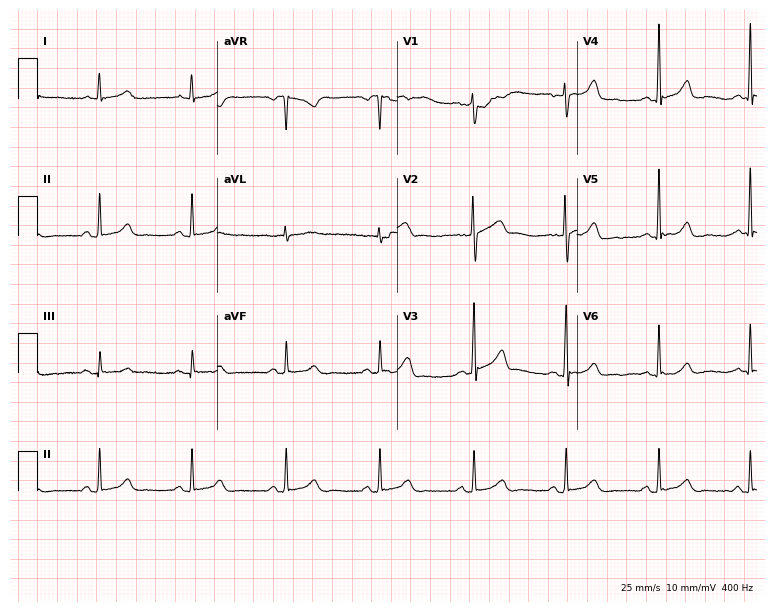
Standard 12-lead ECG recorded from a female, 41 years old. None of these six findings is recorded: first-degree AV block, right bundle branch block (RBBB), left bundle branch block (LBBB), sinus bradycardia, atrial fibrillation (AF), sinus tachycardia.